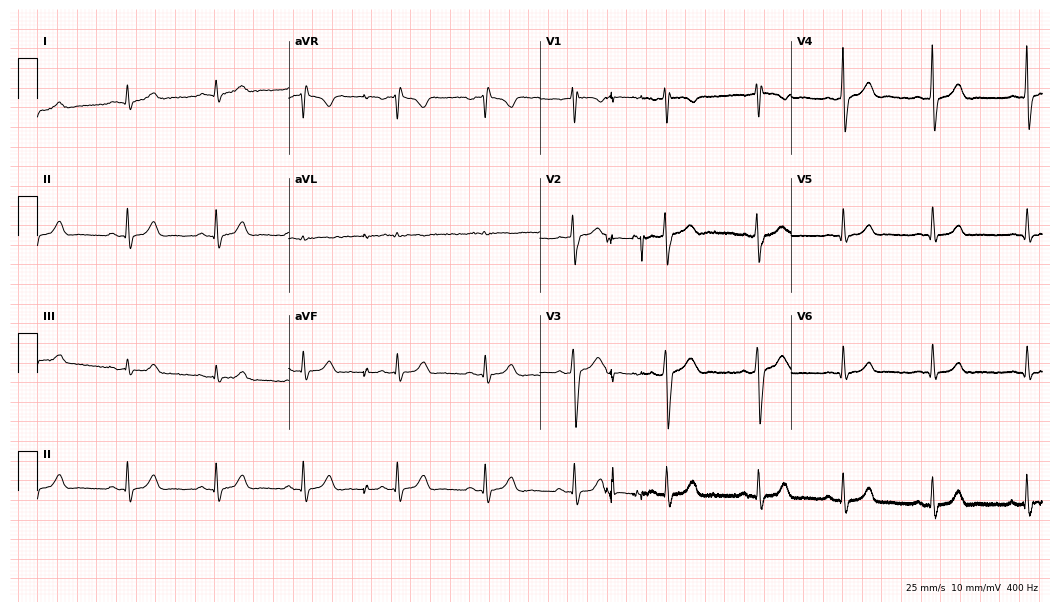
ECG — a man, 21 years old. Labelled as a normal ECG.